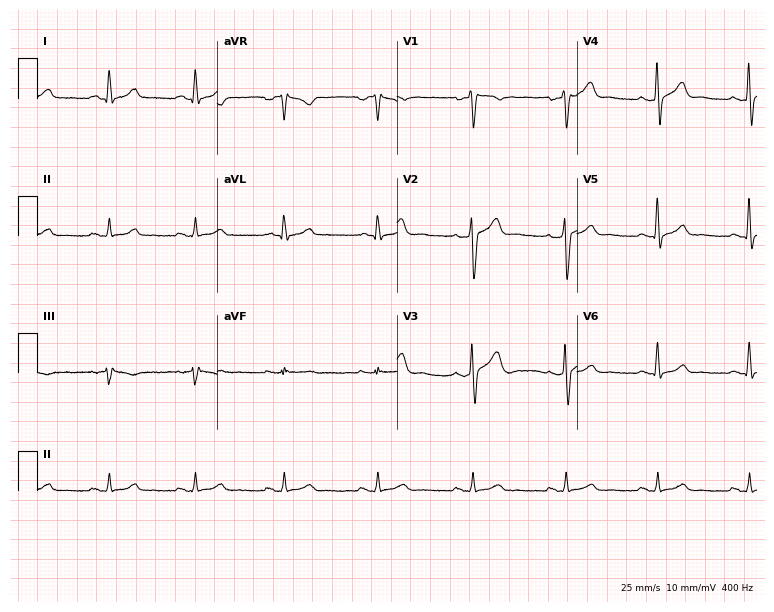
ECG — a 44-year-old man. Labelled as a normal ECG.